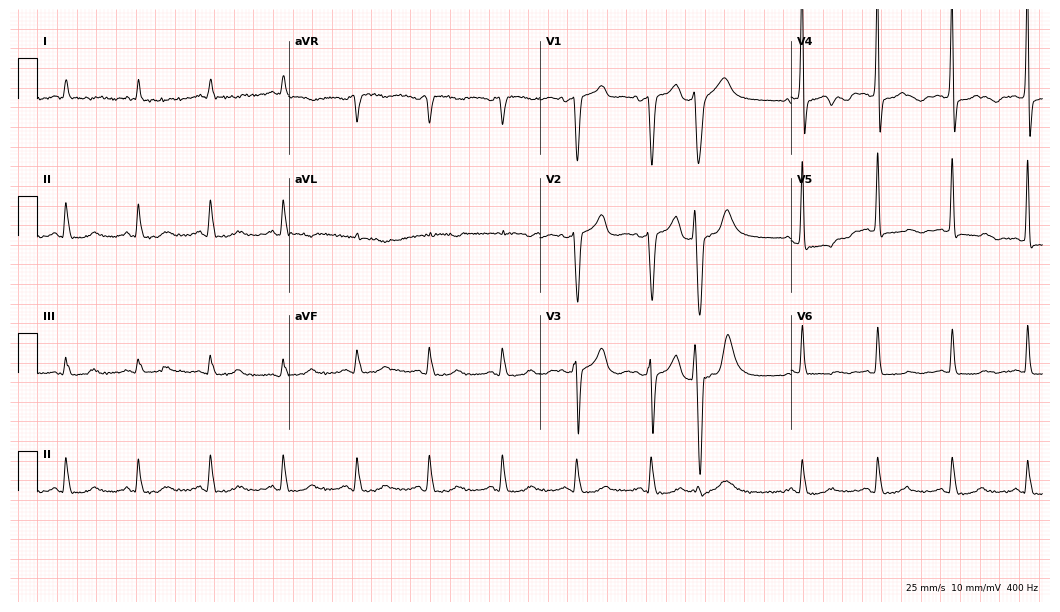
Standard 12-lead ECG recorded from a 74-year-old female patient (10.2-second recording at 400 Hz). None of these six findings is recorded: first-degree AV block, right bundle branch block, left bundle branch block, sinus bradycardia, atrial fibrillation, sinus tachycardia. Findings outside these six are not listed.